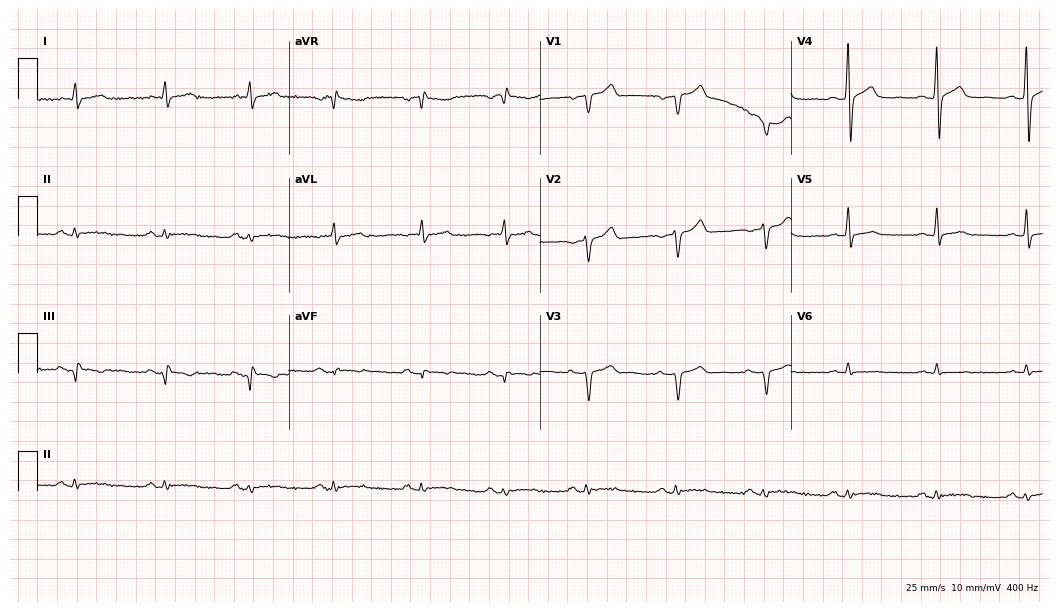
12-lead ECG from a male patient, 28 years old (10.2-second recording at 400 Hz). Recorded interpretation: within normal limits.